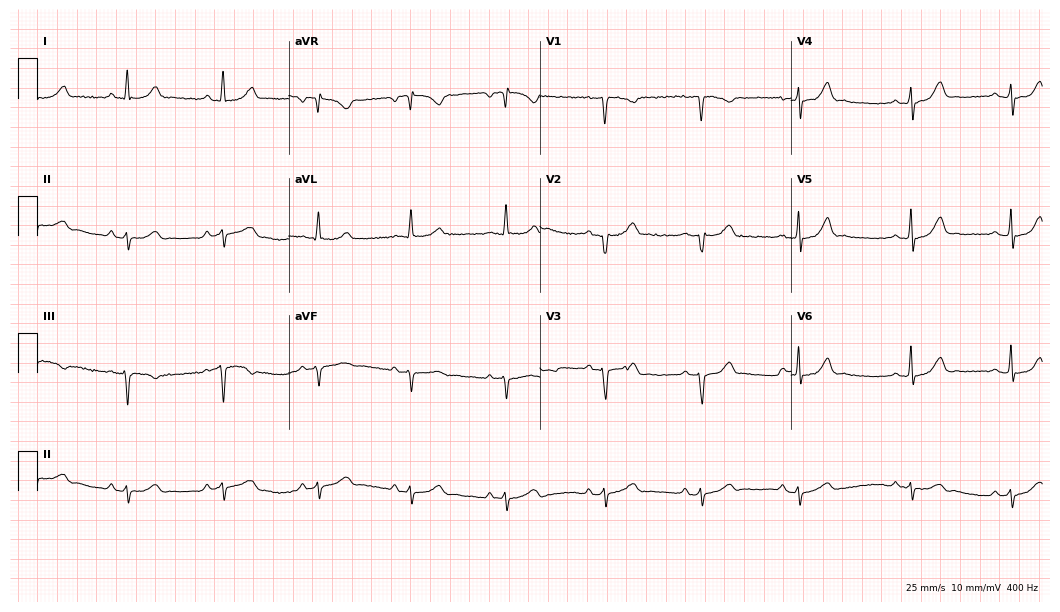
Electrocardiogram (10.2-second recording at 400 Hz), a female, 45 years old. Of the six screened findings (first-degree AV block, right bundle branch block, left bundle branch block, sinus bradycardia, atrial fibrillation, sinus tachycardia), none is recorded.